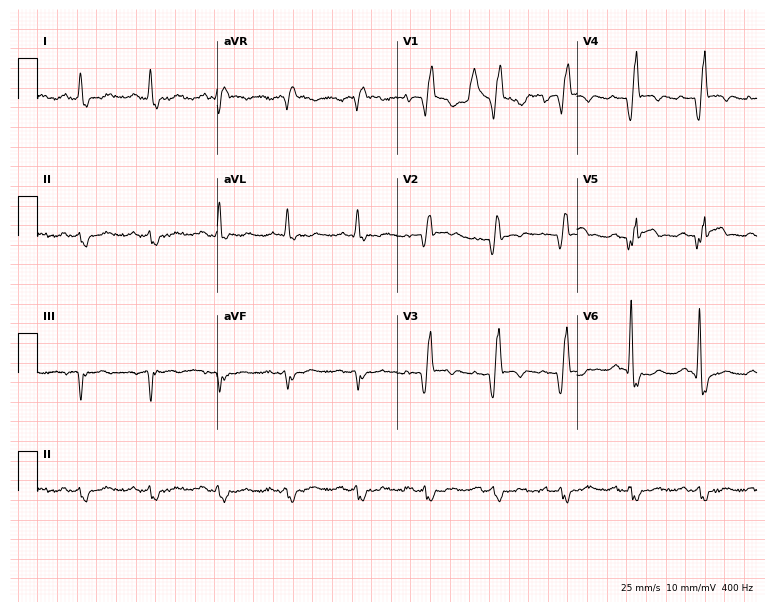
Electrocardiogram (7.3-second recording at 400 Hz), a 42-year-old male. Interpretation includes right bundle branch block.